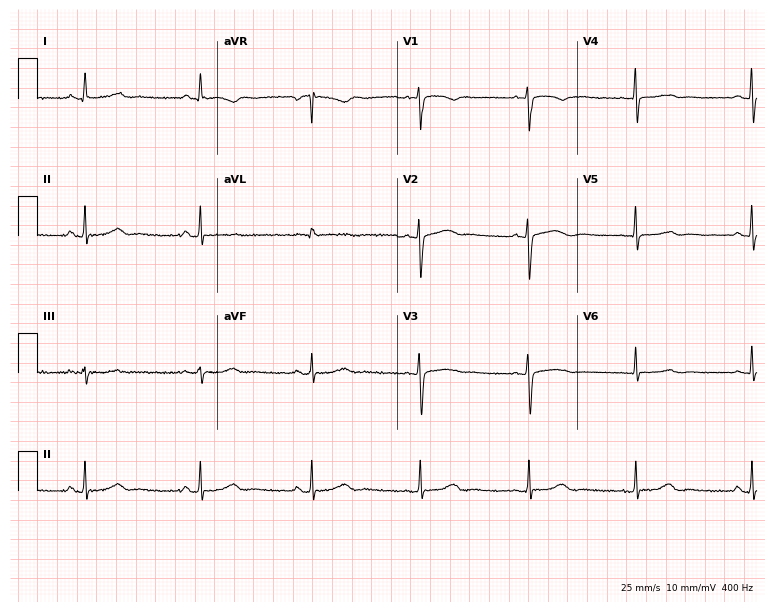
Standard 12-lead ECG recorded from a 56-year-old woman. Read as a normal ECG.